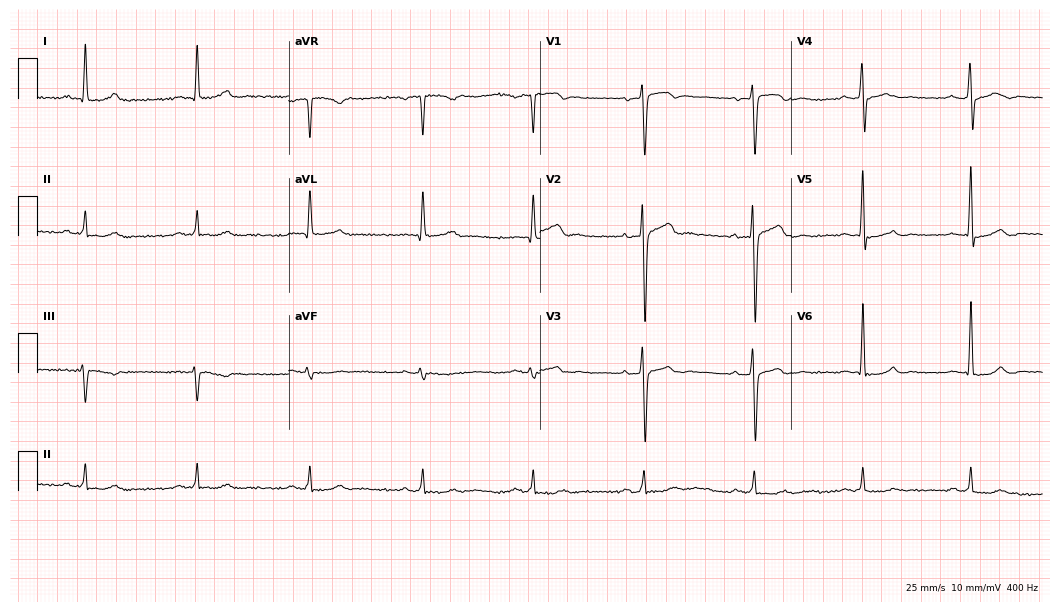
12-lead ECG (10.2-second recording at 400 Hz) from a male, 61 years old. Labelled as a normal ECG.